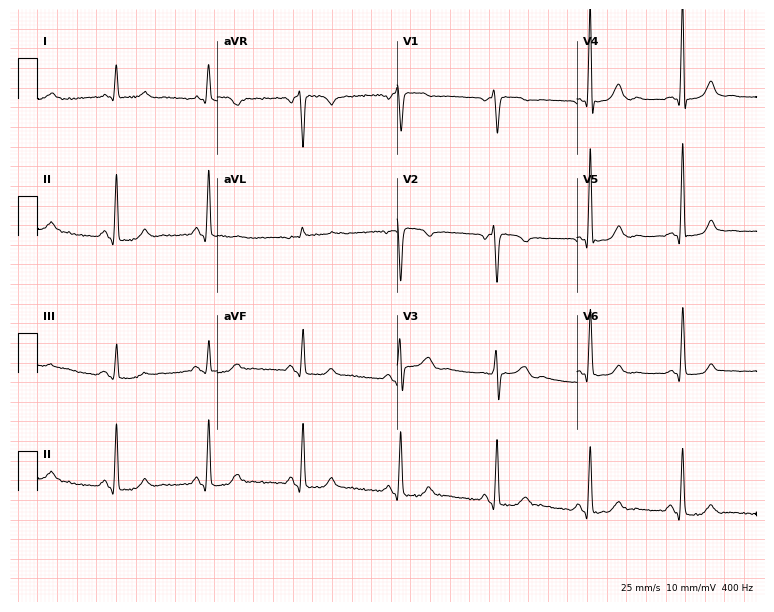
Electrocardiogram, a female patient, 46 years old. Of the six screened findings (first-degree AV block, right bundle branch block, left bundle branch block, sinus bradycardia, atrial fibrillation, sinus tachycardia), none is recorded. Findings outside these six are not listed.